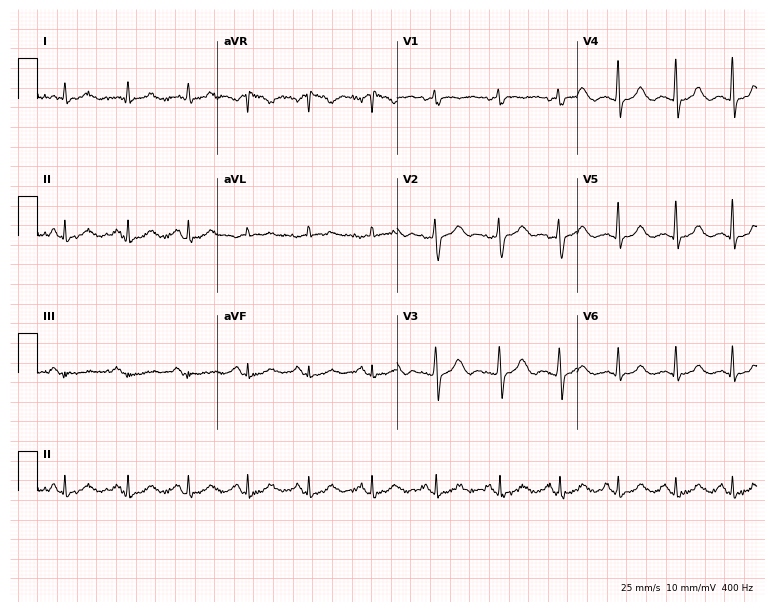
ECG (7.3-second recording at 400 Hz) — a female patient, 54 years old. Screened for six findings — first-degree AV block, right bundle branch block, left bundle branch block, sinus bradycardia, atrial fibrillation, sinus tachycardia — none is recorded. Findings outside these six are not listed.